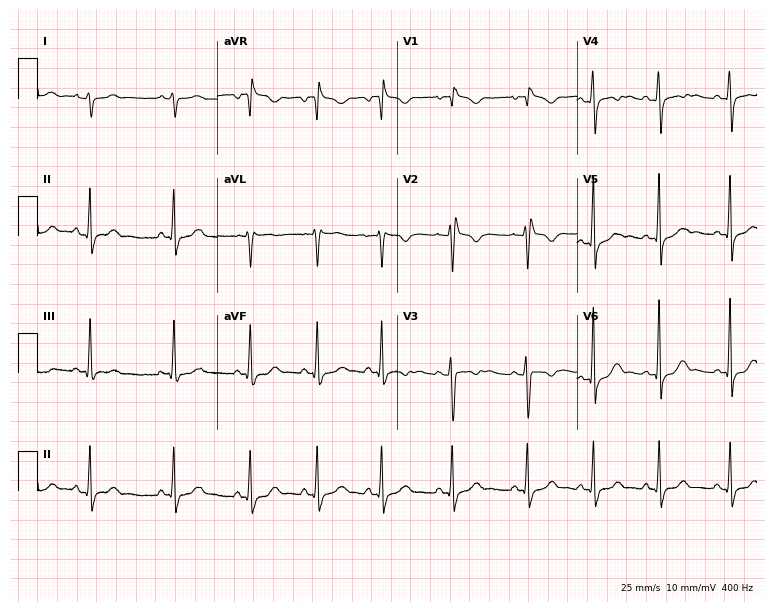
Standard 12-lead ECG recorded from a female patient, 17 years old (7.3-second recording at 400 Hz). None of these six findings is recorded: first-degree AV block, right bundle branch block (RBBB), left bundle branch block (LBBB), sinus bradycardia, atrial fibrillation (AF), sinus tachycardia. Only these six findings were labelled.